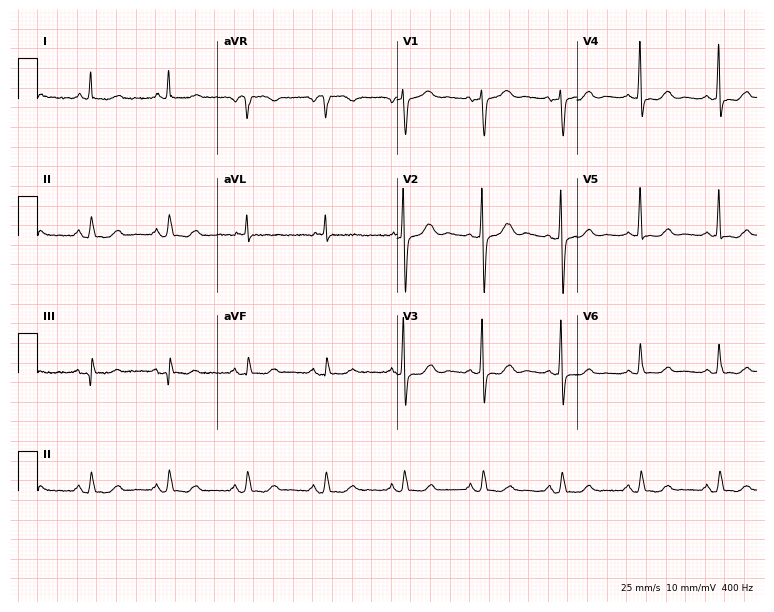
ECG (7.3-second recording at 400 Hz) — a 79-year-old female. Screened for six findings — first-degree AV block, right bundle branch block, left bundle branch block, sinus bradycardia, atrial fibrillation, sinus tachycardia — none is recorded. Findings outside these six are not listed.